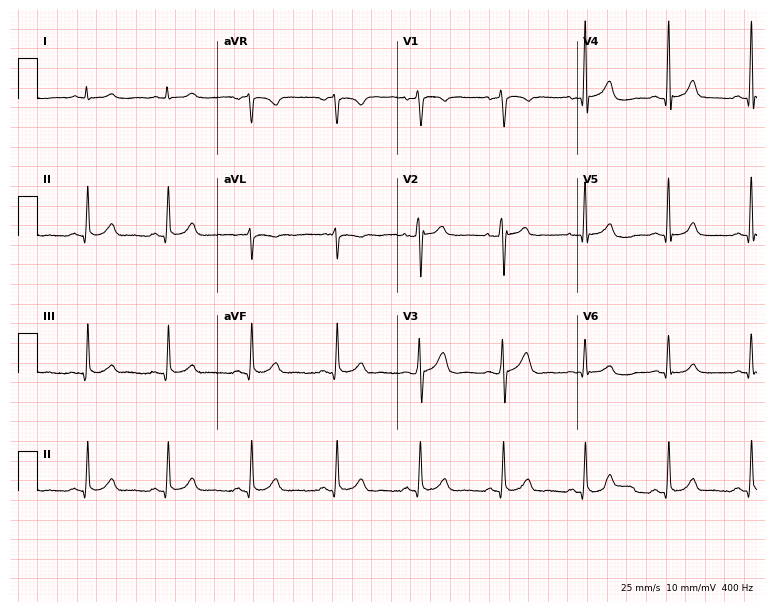
Resting 12-lead electrocardiogram (7.3-second recording at 400 Hz). Patient: a 42-year-old man. Read as a normal ECG.